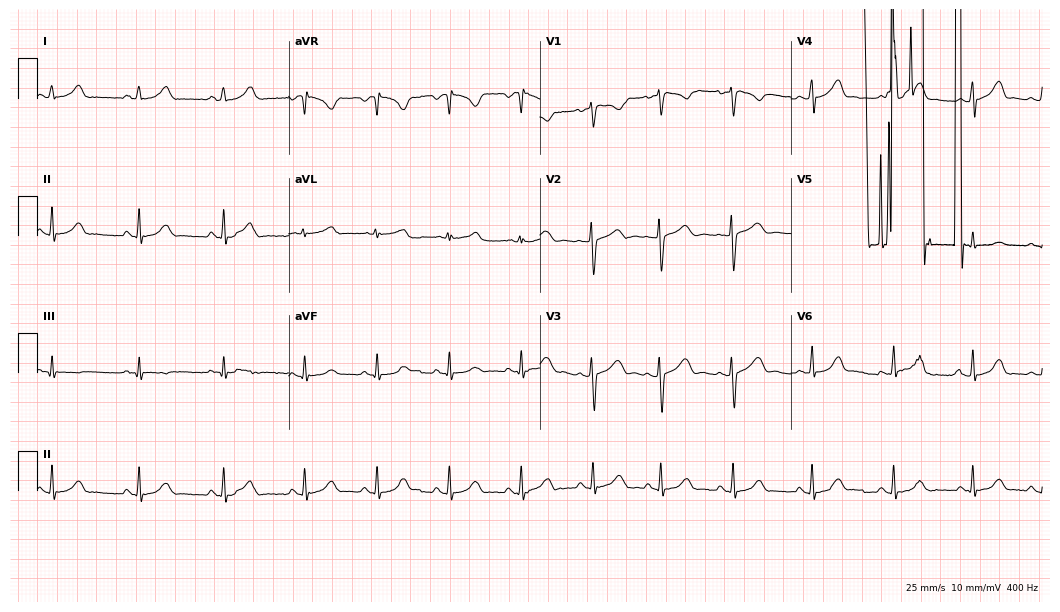
12-lead ECG from a female, 19 years old. No first-degree AV block, right bundle branch block, left bundle branch block, sinus bradycardia, atrial fibrillation or sinus tachycardia recorded for this tracing. Other findings, if any, are not listed.